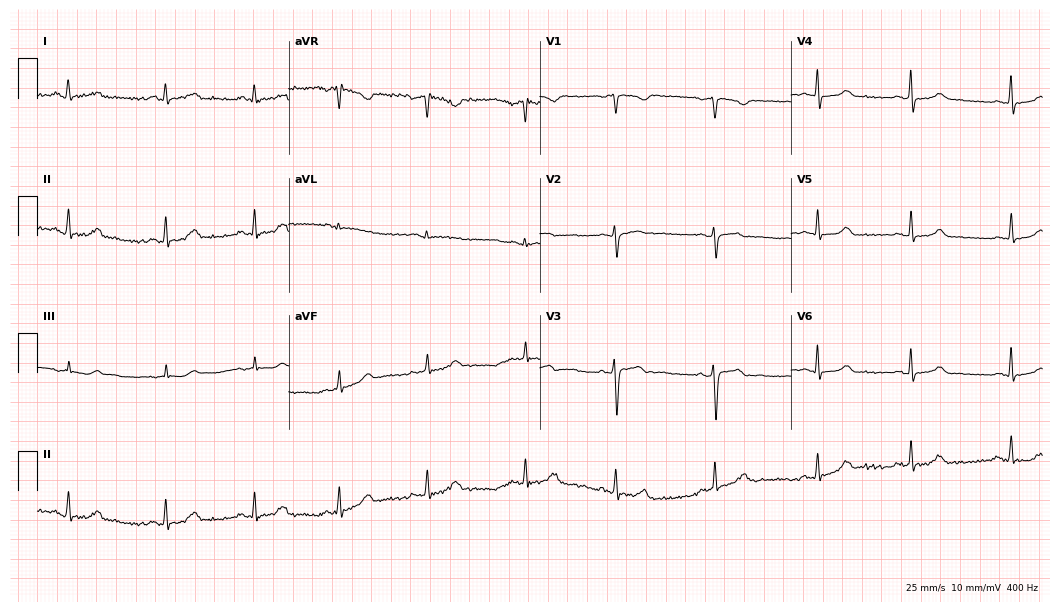
12-lead ECG from a 26-year-old female patient (10.2-second recording at 400 Hz). Recorded interpretation: within normal limits.